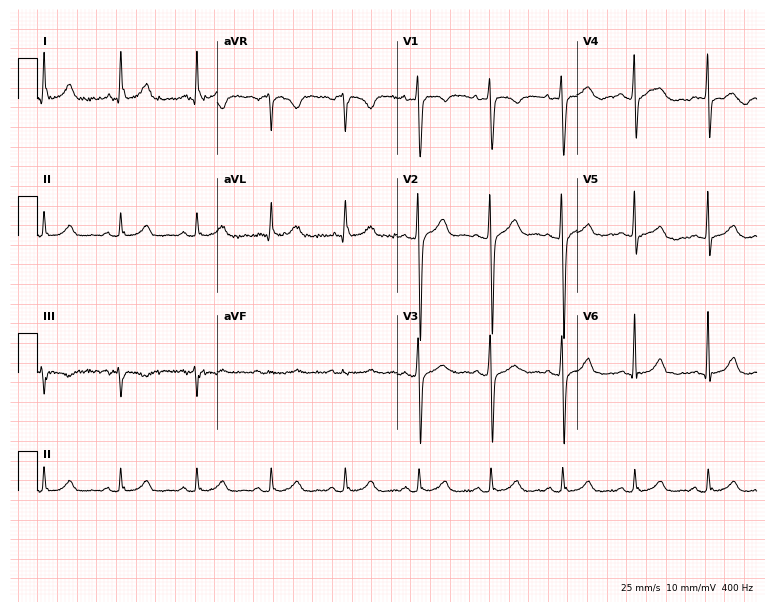
12-lead ECG from a 25-year-old male (7.3-second recording at 400 Hz). Recorded interpretation: within normal limits.